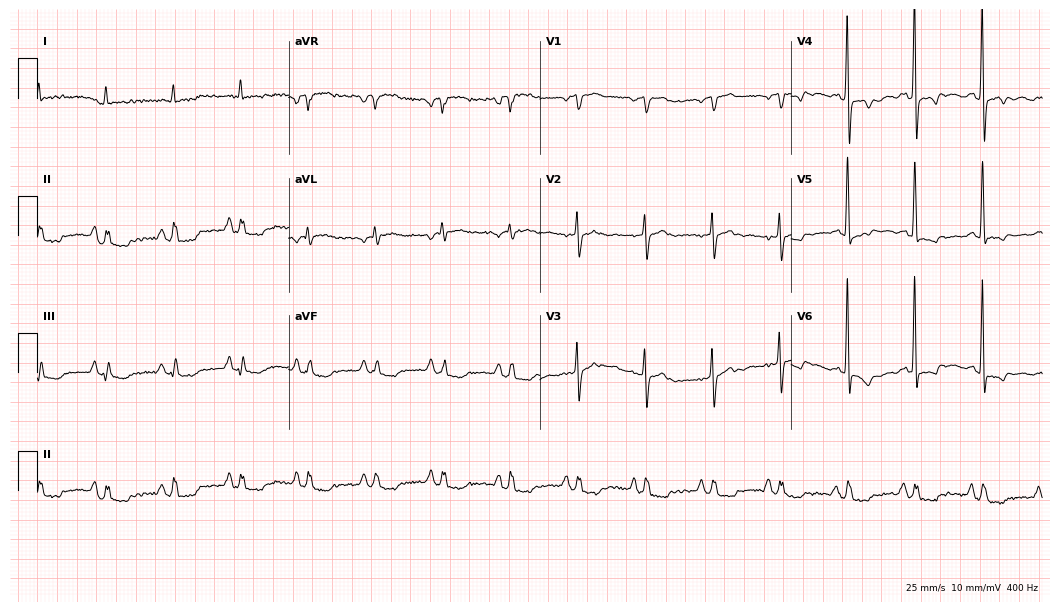
Electrocardiogram, a male, 81 years old. Of the six screened findings (first-degree AV block, right bundle branch block, left bundle branch block, sinus bradycardia, atrial fibrillation, sinus tachycardia), none is recorded. Other findings, if any, are not listed.